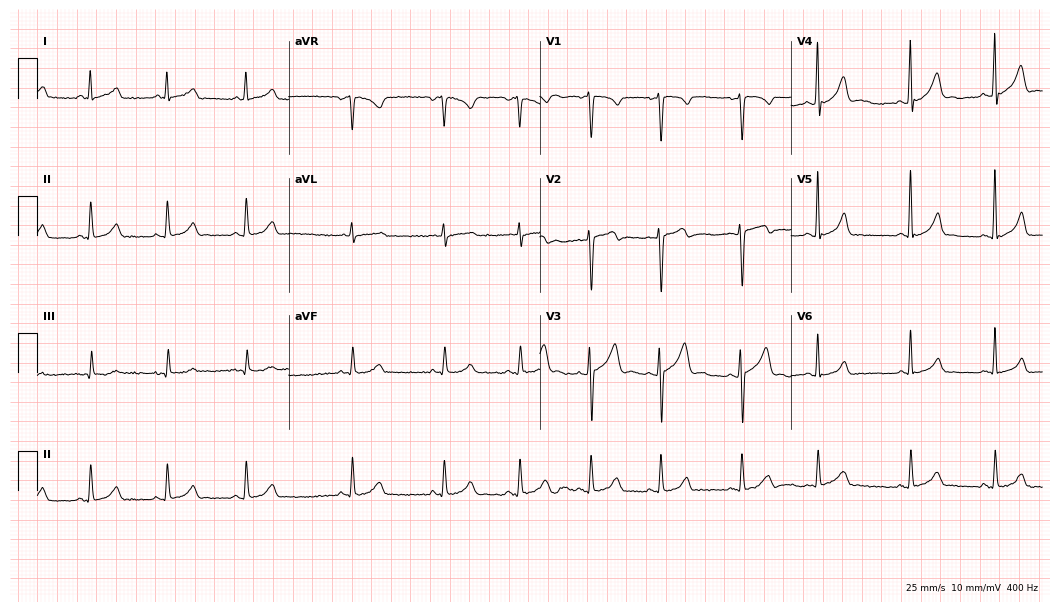
12-lead ECG (10.2-second recording at 400 Hz) from a 31-year-old male patient. Screened for six findings — first-degree AV block, right bundle branch block, left bundle branch block, sinus bradycardia, atrial fibrillation, sinus tachycardia — none is recorded. Findings outside these six are not listed.